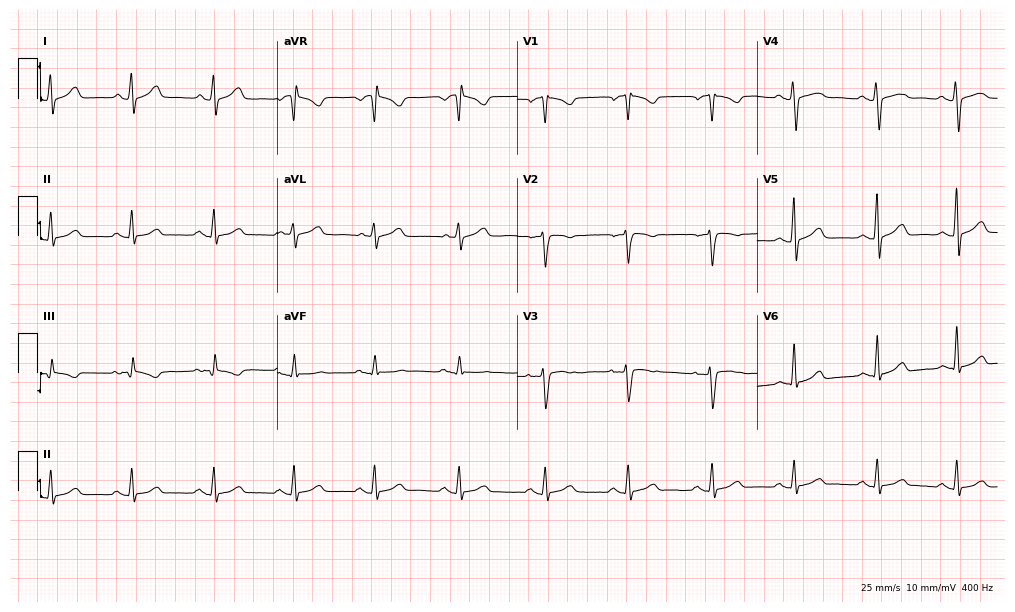
Standard 12-lead ECG recorded from a 34-year-old female patient. None of these six findings is recorded: first-degree AV block, right bundle branch block (RBBB), left bundle branch block (LBBB), sinus bradycardia, atrial fibrillation (AF), sinus tachycardia.